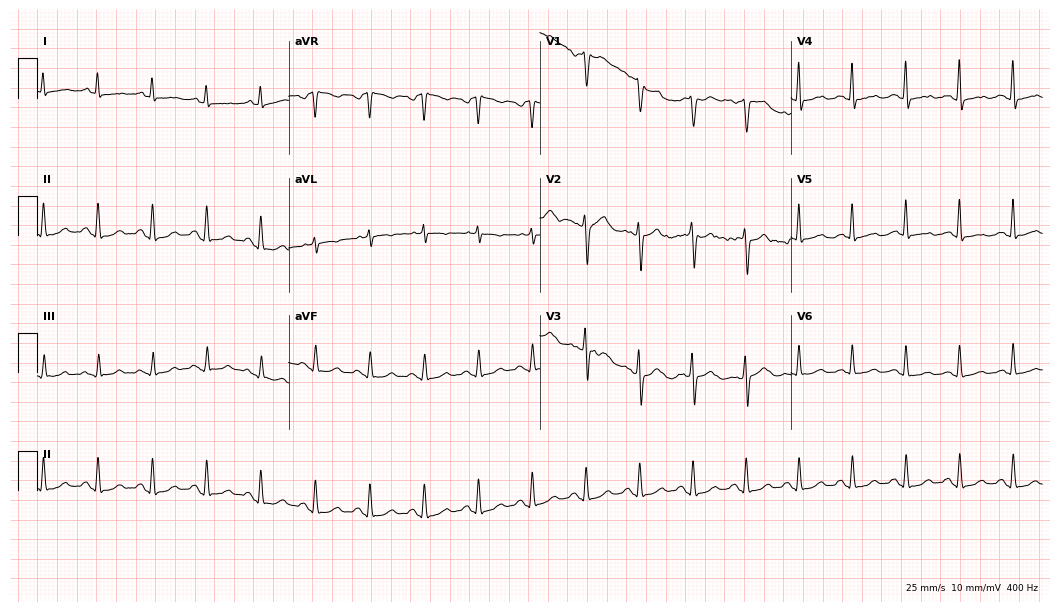
12-lead ECG (10.2-second recording at 400 Hz) from a female, 54 years old. Screened for six findings — first-degree AV block, right bundle branch block, left bundle branch block, sinus bradycardia, atrial fibrillation, sinus tachycardia — none is recorded.